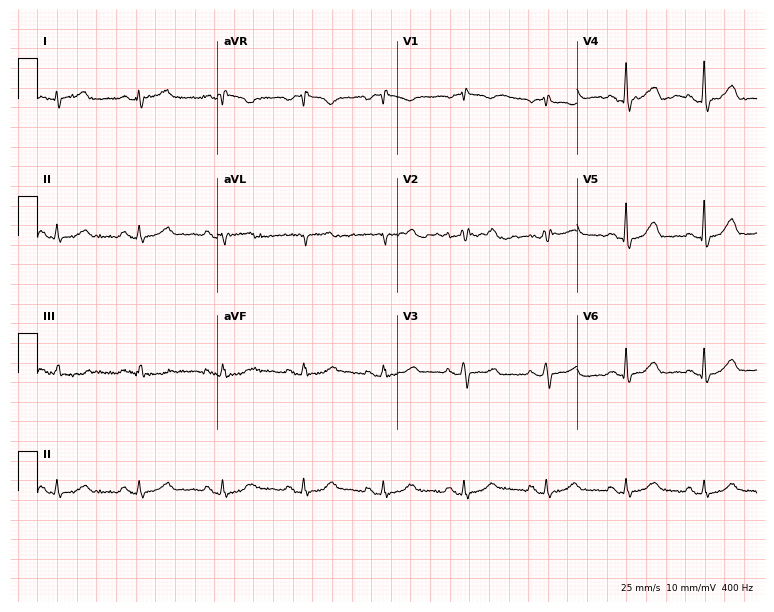
Electrocardiogram, a 52-year-old female patient. Of the six screened findings (first-degree AV block, right bundle branch block (RBBB), left bundle branch block (LBBB), sinus bradycardia, atrial fibrillation (AF), sinus tachycardia), none is recorded. Other findings, if any, are not listed.